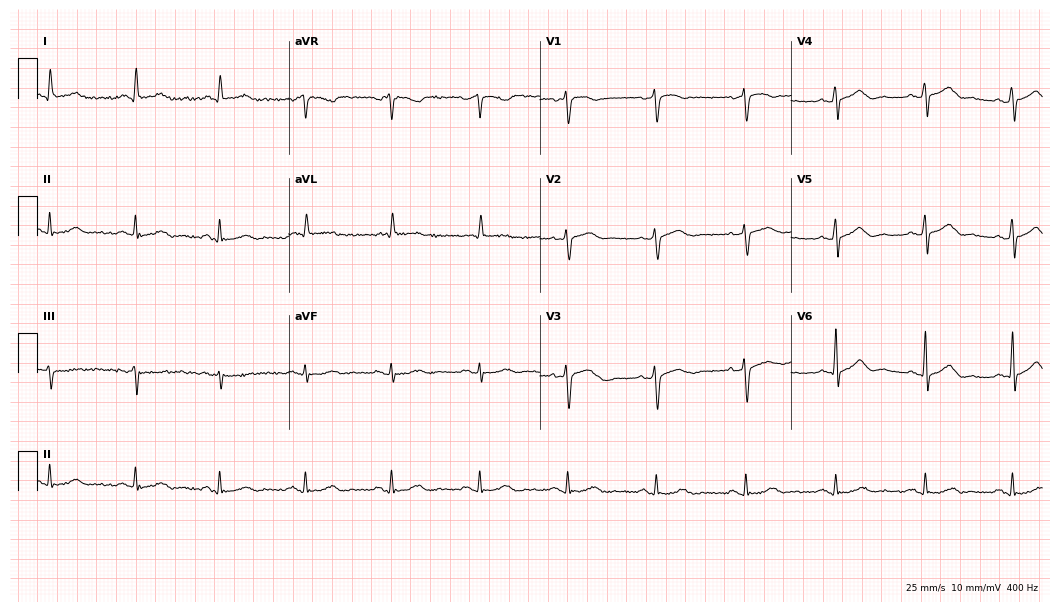
Electrocardiogram (10.2-second recording at 400 Hz), a male patient, 73 years old. Of the six screened findings (first-degree AV block, right bundle branch block, left bundle branch block, sinus bradycardia, atrial fibrillation, sinus tachycardia), none is recorded. Other findings, if any, are not listed.